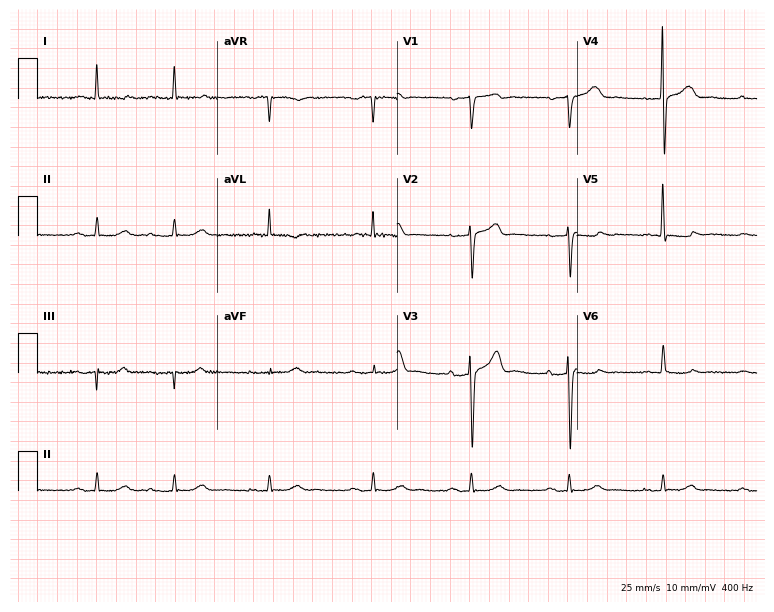
Resting 12-lead electrocardiogram (7.3-second recording at 400 Hz). Patient: a man, 77 years old. None of these six findings is recorded: first-degree AV block, right bundle branch block, left bundle branch block, sinus bradycardia, atrial fibrillation, sinus tachycardia.